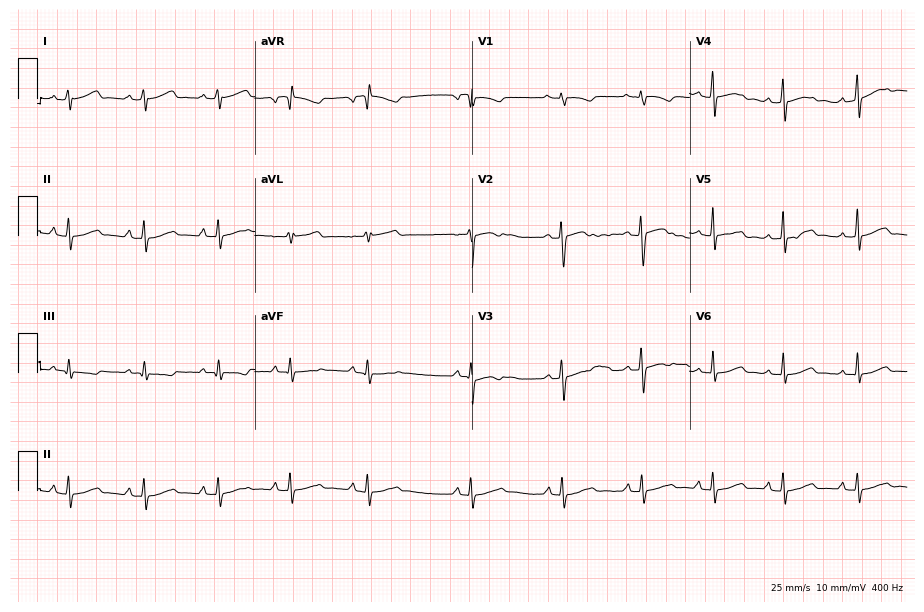
ECG — a 17-year-old female patient. Screened for six findings — first-degree AV block, right bundle branch block, left bundle branch block, sinus bradycardia, atrial fibrillation, sinus tachycardia — none is recorded. Findings outside these six are not listed.